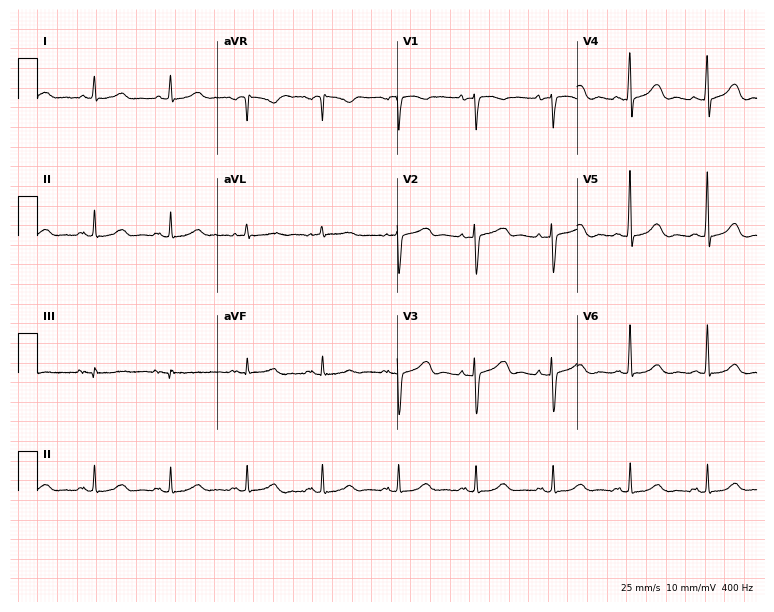
12-lead ECG from a female patient, 79 years old (7.3-second recording at 400 Hz). No first-degree AV block, right bundle branch block, left bundle branch block, sinus bradycardia, atrial fibrillation or sinus tachycardia recorded for this tracing.